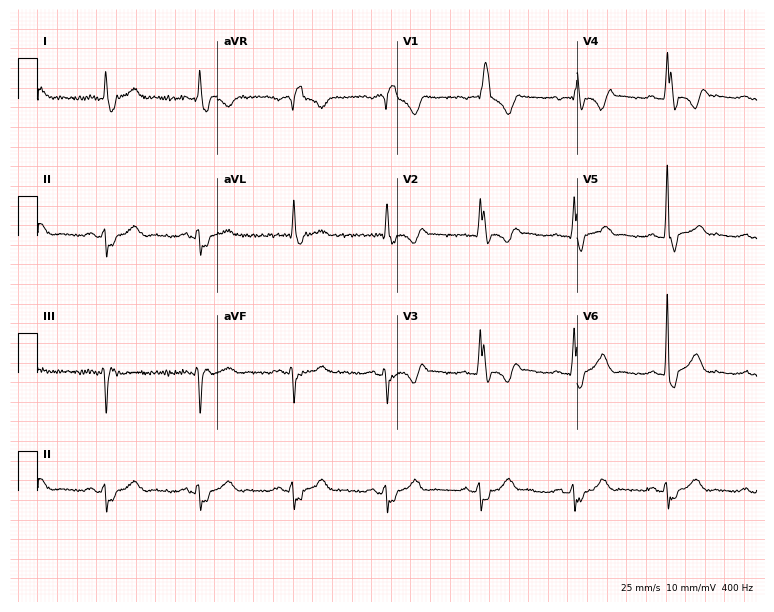
12-lead ECG from a male patient, 71 years old. Findings include right bundle branch block (RBBB).